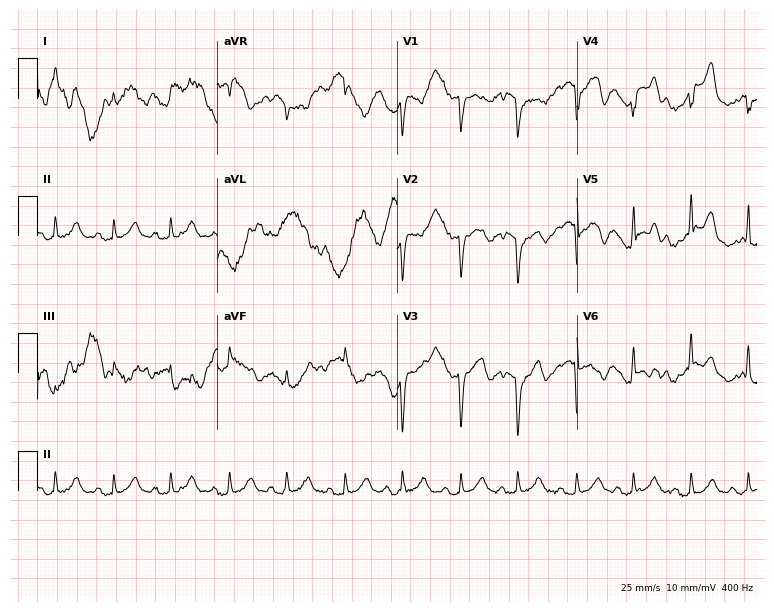
Resting 12-lead electrocardiogram. Patient: a woman, 80 years old. None of these six findings is recorded: first-degree AV block, right bundle branch block, left bundle branch block, sinus bradycardia, atrial fibrillation, sinus tachycardia.